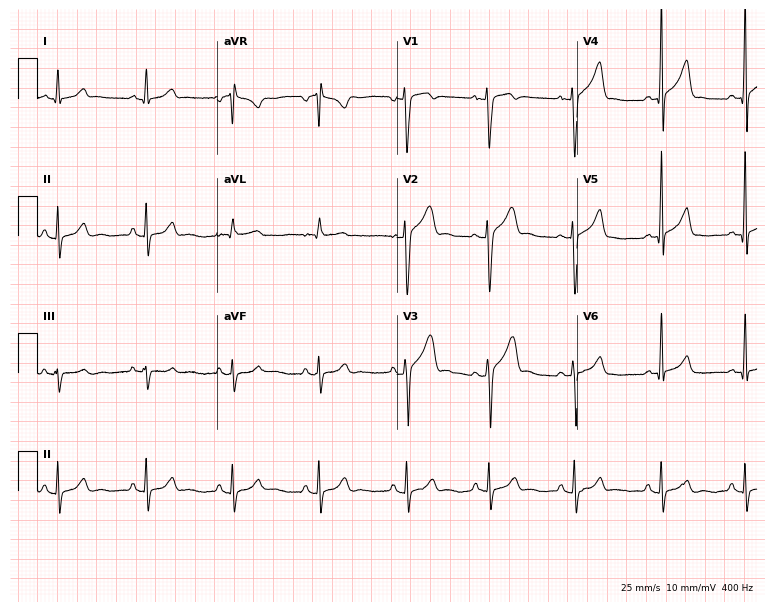
Standard 12-lead ECG recorded from a 27-year-old male. Read as a normal ECG.